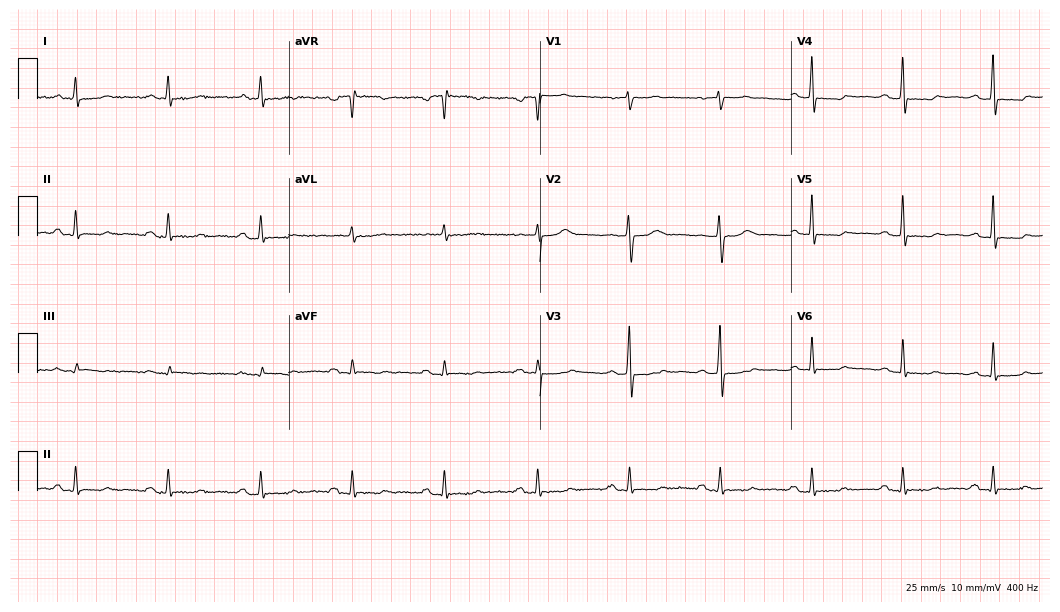
Standard 12-lead ECG recorded from a 57-year-old woman. None of these six findings is recorded: first-degree AV block, right bundle branch block, left bundle branch block, sinus bradycardia, atrial fibrillation, sinus tachycardia.